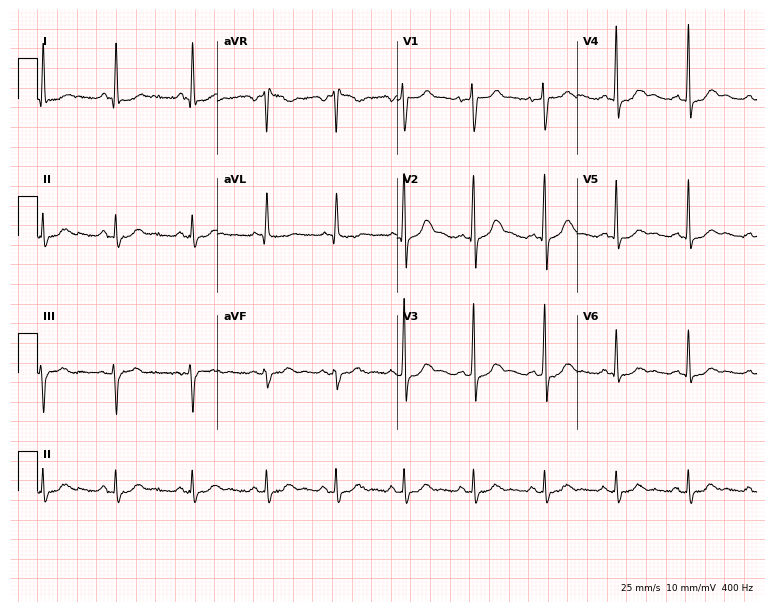
Electrocardiogram, a 42-year-old male patient. Of the six screened findings (first-degree AV block, right bundle branch block (RBBB), left bundle branch block (LBBB), sinus bradycardia, atrial fibrillation (AF), sinus tachycardia), none is recorded.